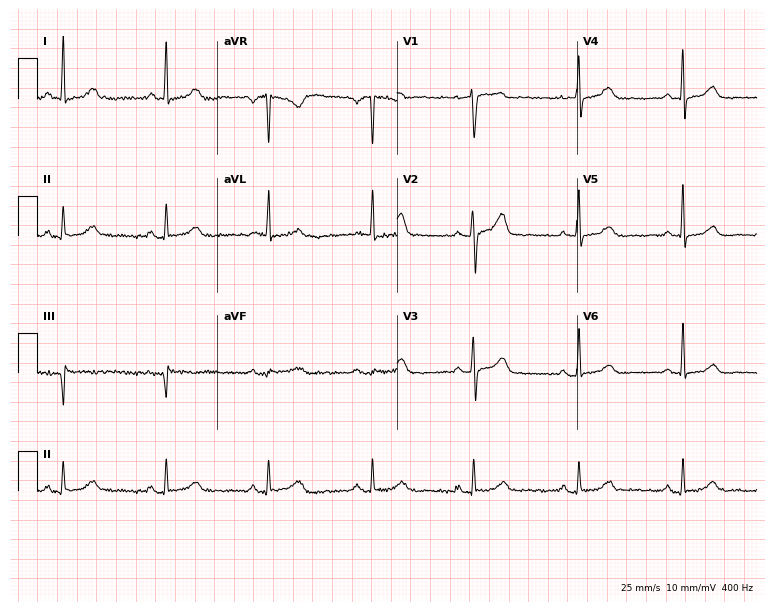
12-lead ECG from a female, 55 years old. Labelled as a normal ECG.